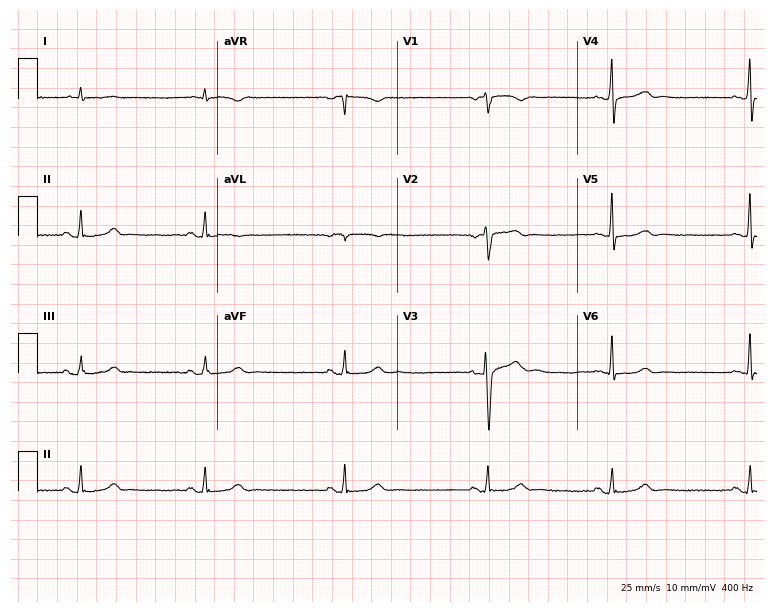
12-lead ECG from an 81-year-old female. Findings include sinus bradycardia (a sinus rate of 50 beats per minute or less).